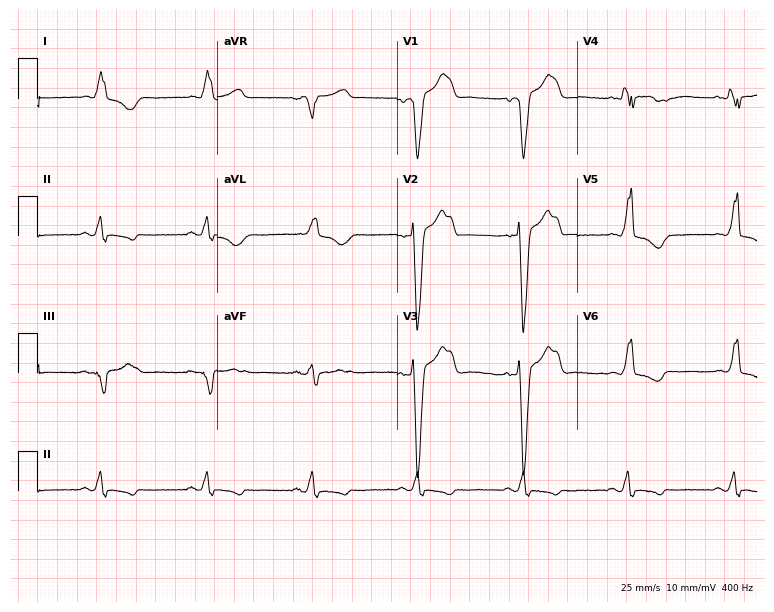
Resting 12-lead electrocardiogram. Patient: an 81-year-old male. None of these six findings is recorded: first-degree AV block, right bundle branch block (RBBB), left bundle branch block (LBBB), sinus bradycardia, atrial fibrillation (AF), sinus tachycardia. Other findings, if any, are not listed.